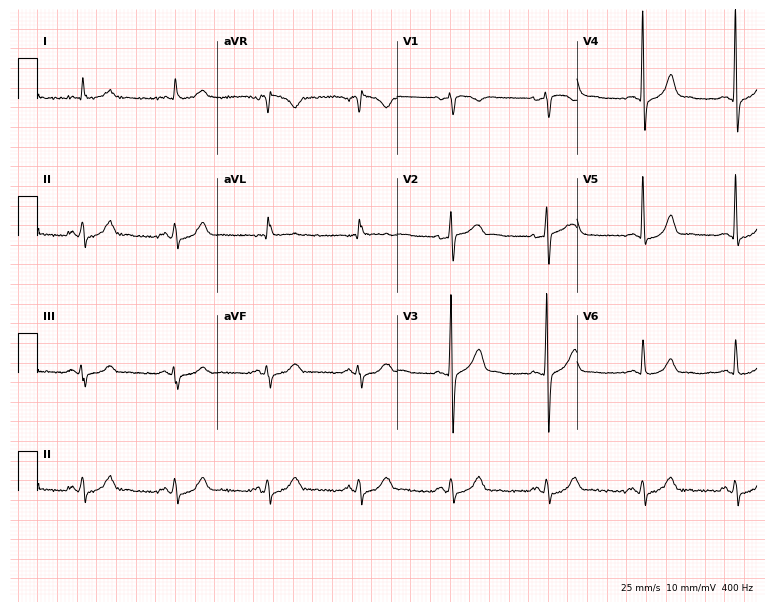
12-lead ECG from a male patient, 66 years old. Screened for six findings — first-degree AV block, right bundle branch block, left bundle branch block, sinus bradycardia, atrial fibrillation, sinus tachycardia — none is recorded. Only these six findings were labelled.